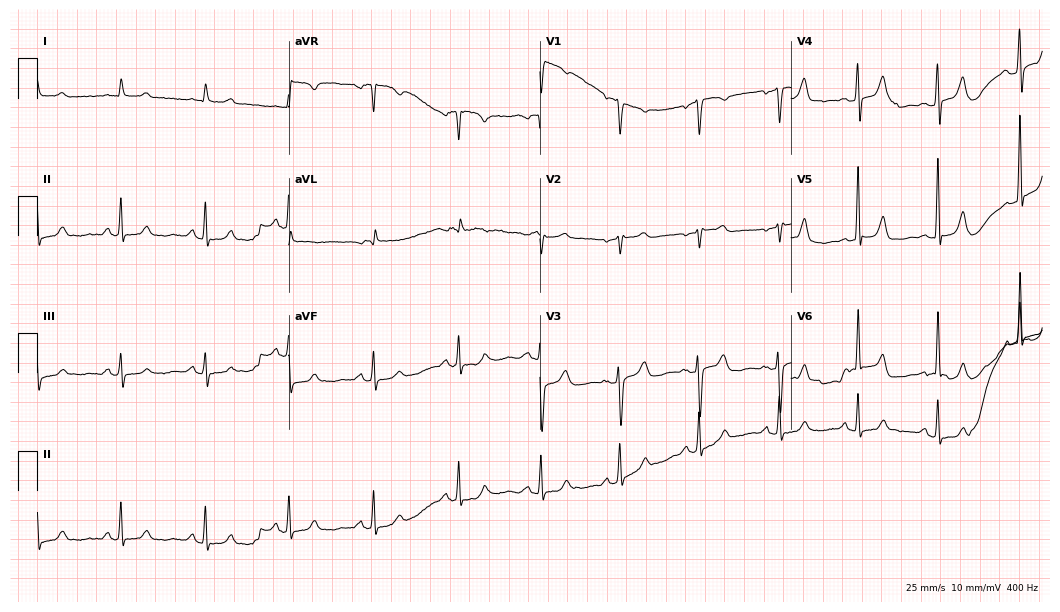
ECG (10.2-second recording at 400 Hz) — an 80-year-old female patient. Labelled as a normal ECG.